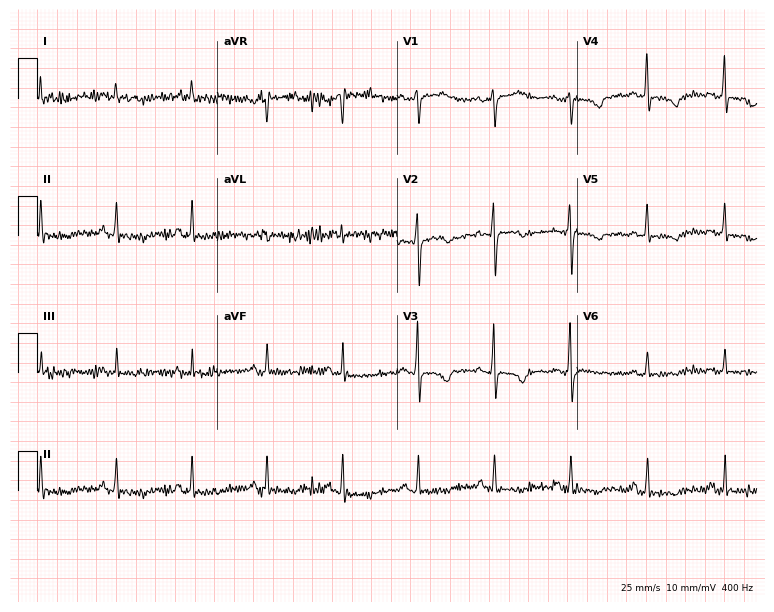
Resting 12-lead electrocardiogram (7.3-second recording at 400 Hz). Patient: a female, 59 years old. None of these six findings is recorded: first-degree AV block, right bundle branch block, left bundle branch block, sinus bradycardia, atrial fibrillation, sinus tachycardia. Findings outside these six are not listed.